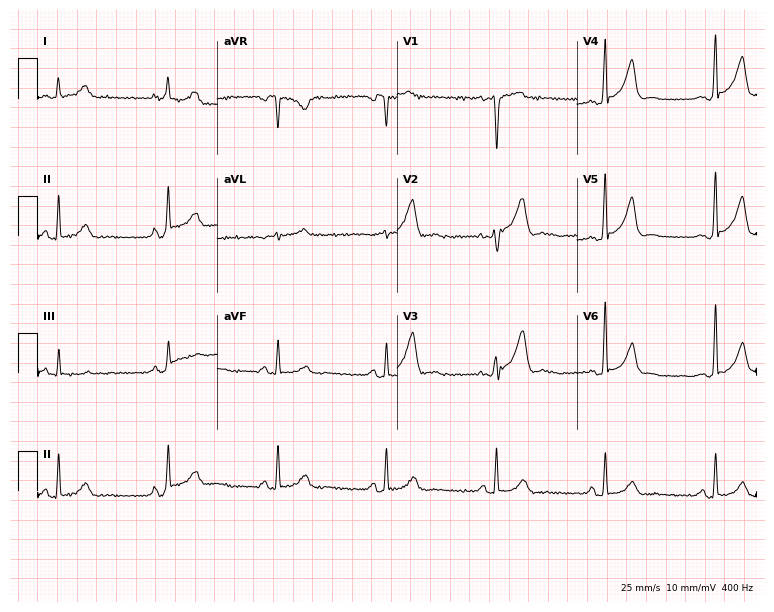
Electrocardiogram, a 60-year-old male patient. Of the six screened findings (first-degree AV block, right bundle branch block, left bundle branch block, sinus bradycardia, atrial fibrillation, sinus tachycardia), none is recorded.